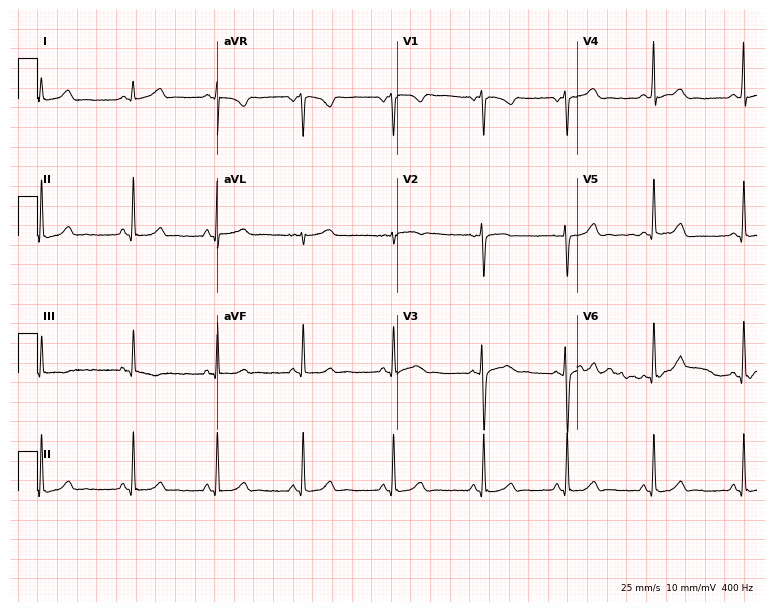
Resting 12-lead electrocardiogram (7.3-second recording at 400 Hz). Patient: a 25-year-old woman. None of these six findings is recorded: first-degree AV block, right bundle branch block, left bundle branch block, sinus bradycardia, atrial fibrillation, sinus tachycardia.